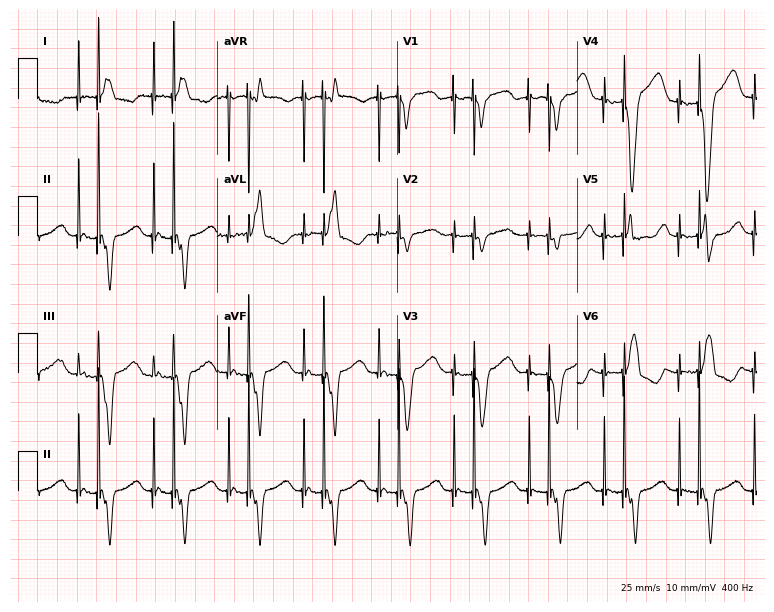
Electrocardiogram (7.3-second recording at 400 Hz), an 80-year-old female patient. Of the six screened findings (first-degree AV block, right bundle branch block (RBBB), left bundle branch block (LBBB), sinus bradycardia, atrial fibrillation (AF), sinus tachycardia), none is recorded. Other findings, if any, are not listed.